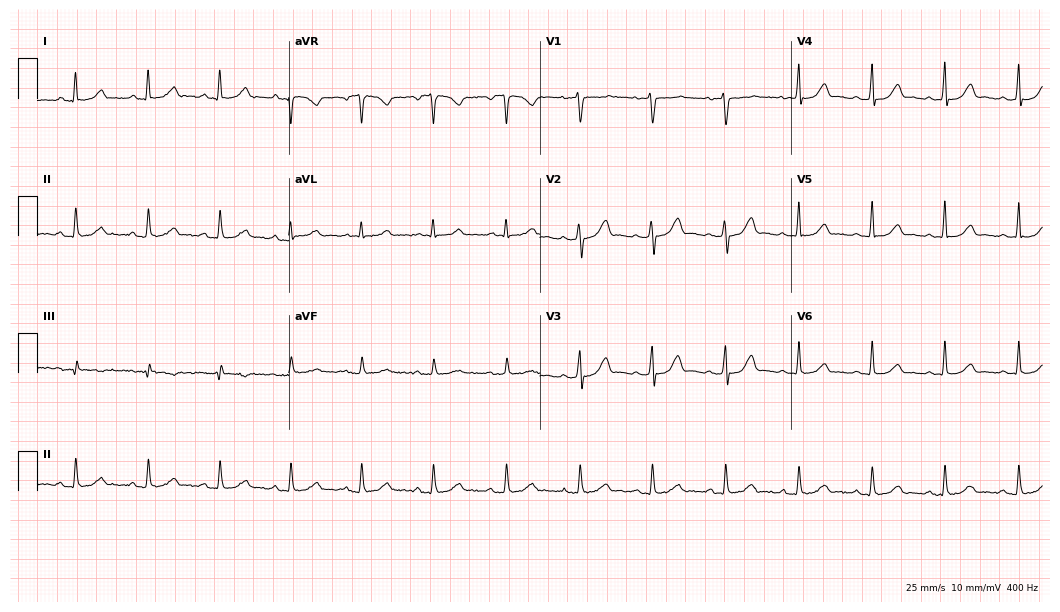
ECG — a female, 33 years old. Labelled as a normal ECG.